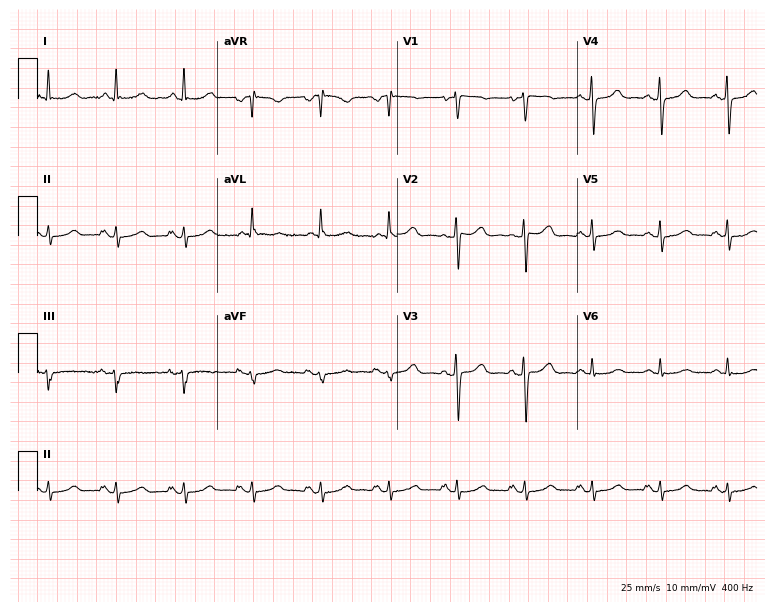
12-lead ECG (7.3-second recording at 400 Hz) from a 76-year-old woman. Screened for six findings — first-degree AV block, right bundle branch block (RBBB), left bundle branch block (LBBB), sinus bradycardia, atrial fibrillation (AF), sinus tachycardia — none is recorded. Other findings, if any, are not listed.